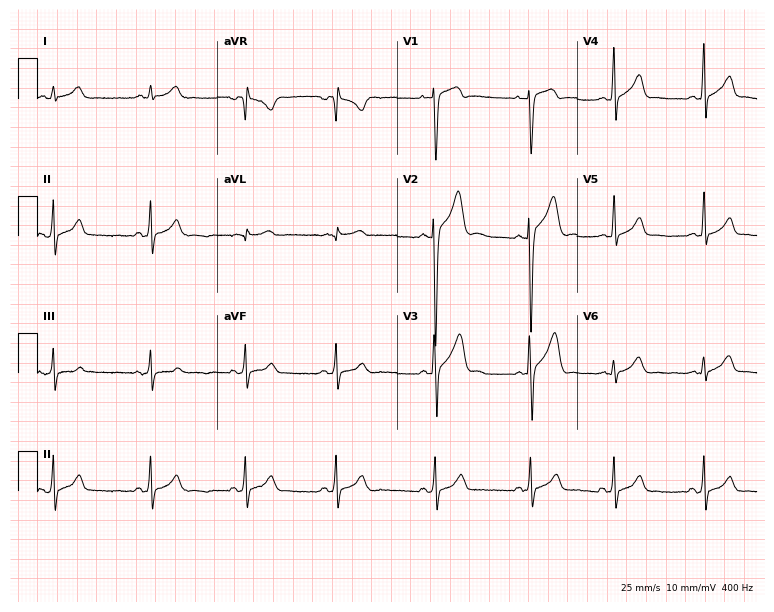
12-lead ECG from an 18-year-old male patient (7.3-second recording at 400 Hz). Recorded interpretation: within normal limits.